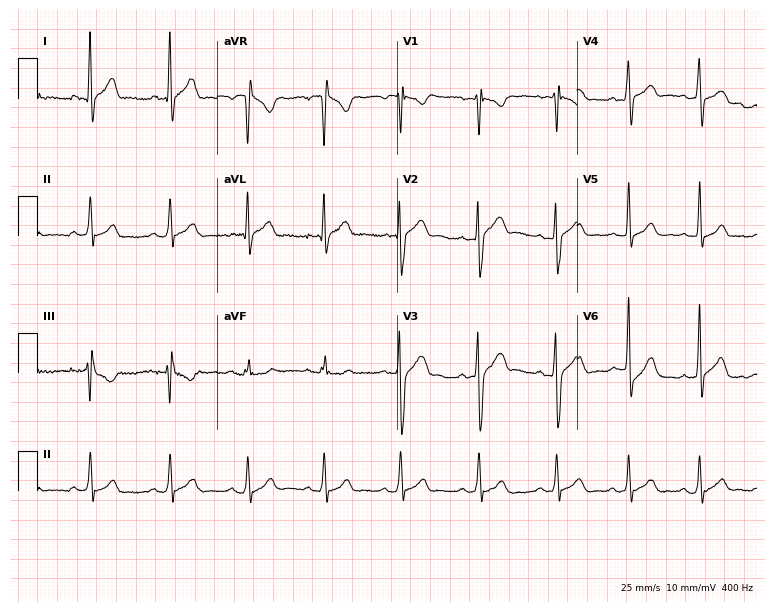
Resting 12-lead electrocardiogram. Patient: a 28-year-old man. Read as a normal ECG.